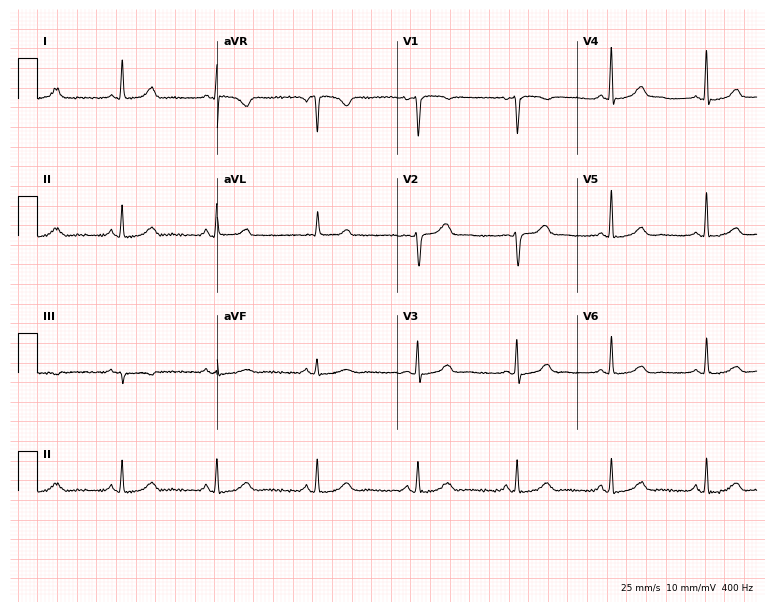
12-lead ECG from a female patient, 59 years old (7.3-second recording at 400 Hz). Recorded interpretation: within normal limits.